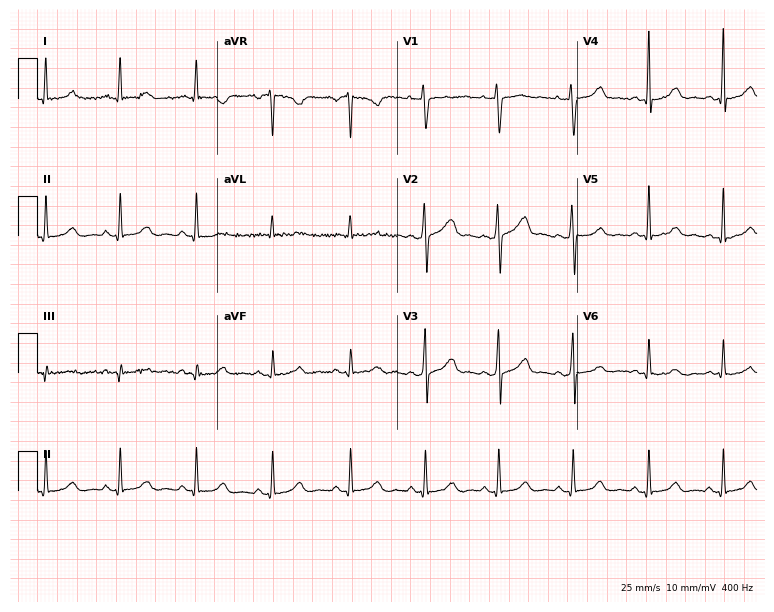
12-lead ECG from a 37-year-old female. Recorded interpretation: within normal limits.